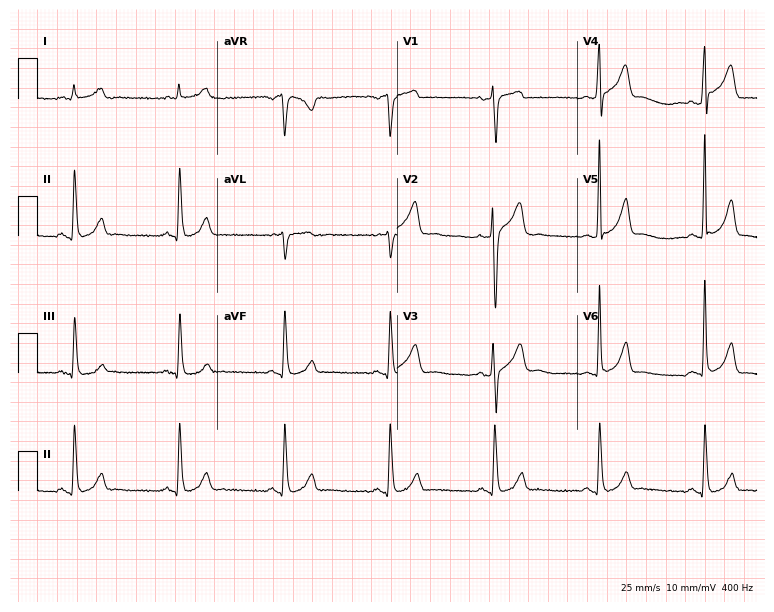
12-lead ECG from a man, 73 years old. Labelled as a normal ECG.